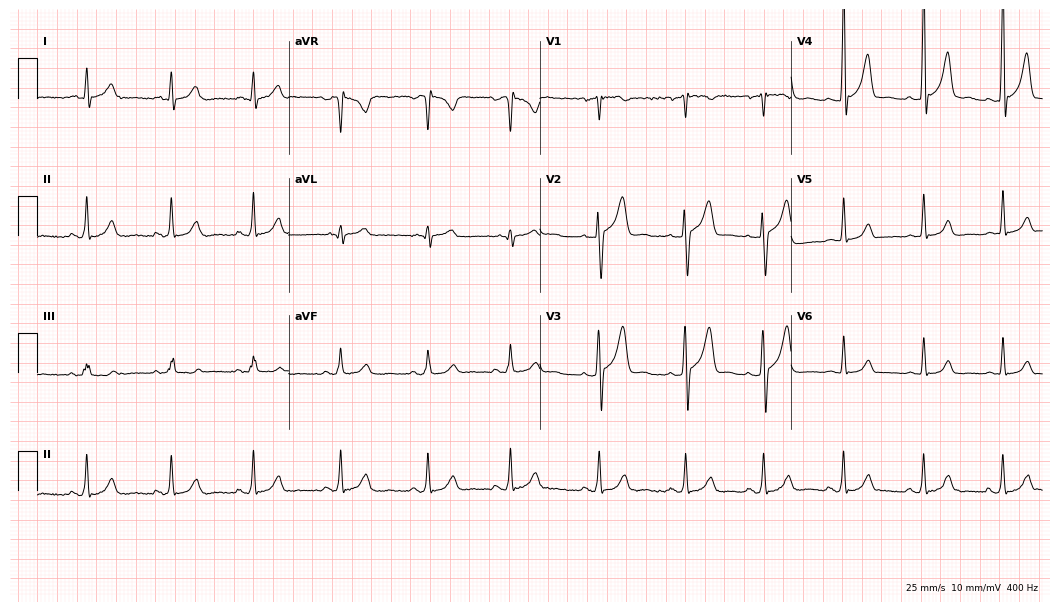
12-lead ECG from a 39-year-old male (10.2-second recording at 400 Hz). Recorded interpretation: within normal limits.